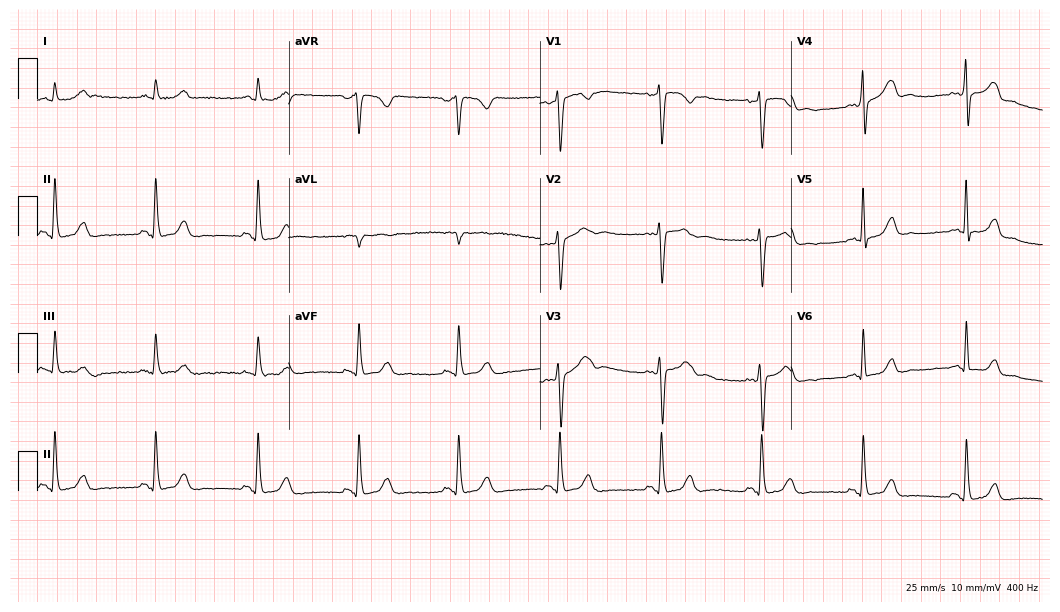
Electrocardiogram (10.2-second recording at 400 Hz), a 48-year-old female patient. Of the six screened findings (first-degree AV block, right bundle branch block (RBBB), left bundle branch block (LBBB), sinus bradycardia, atrial fibrillation (AF), sinus tachycardia), none is recorded.